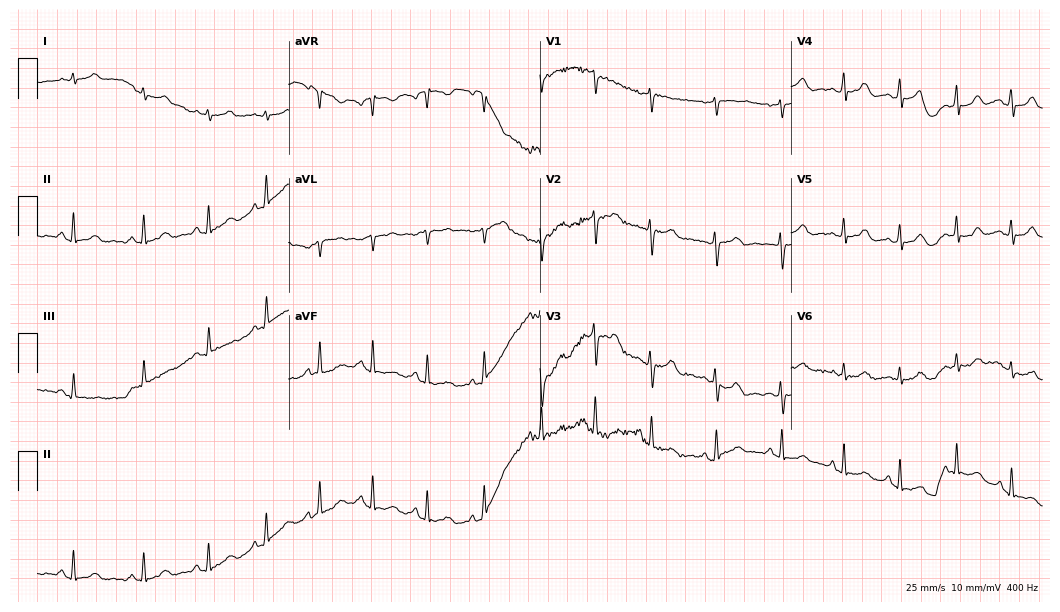
ECG — a 20-year-old woman. Labelled as a normal ECG.